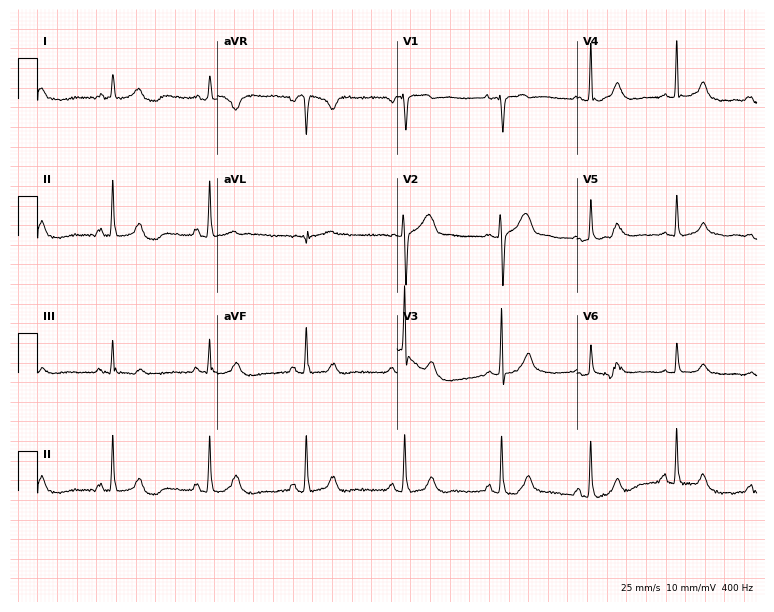
Resting 12-lead electrocardiogram. Patient: a male, 30 years old. Read as a normal ECG.